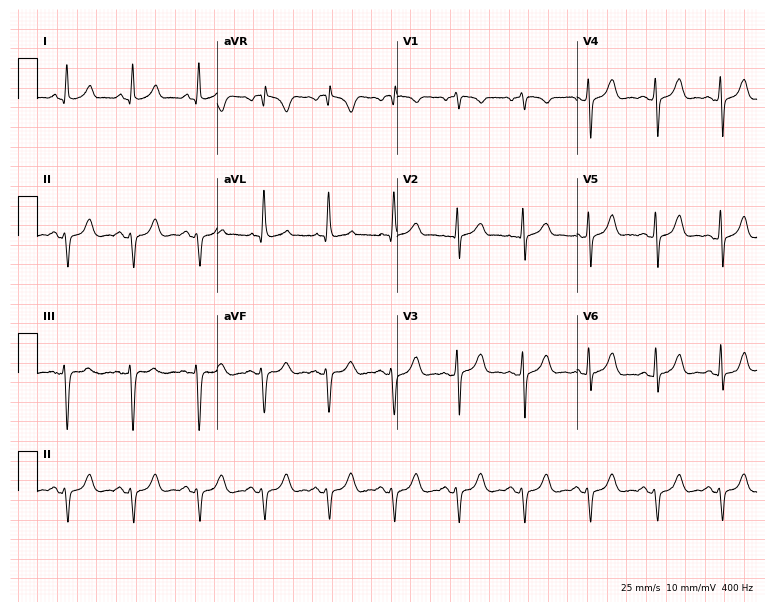
12-lead ECG (7.3-second recording at 400 Hz) from a 71-year-old female. Screened for six findings — first-degree AV block, right bundle branch block (RBBB), left bundle branch block (LBBB), sinus bradycardia, atrial fibrillation (AF), sinus tachycardia — none is recorded.